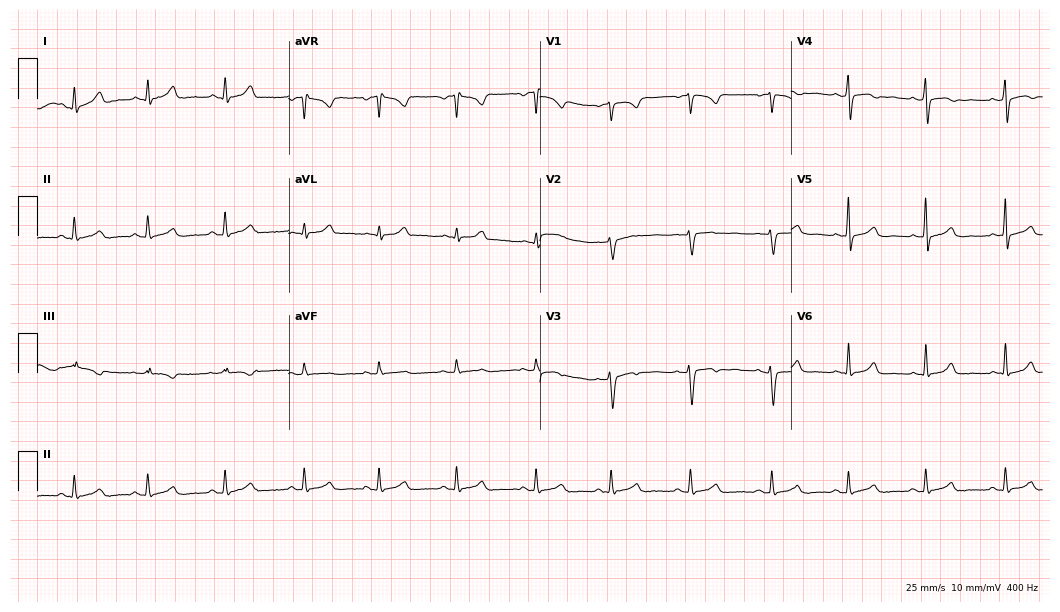
Electrocardiogram, a 29-year-old woman. Of the six screened findings (first-degree AV block, right bundle branch block, left bundle branch block, sinus bradycardia, atrial fibrillation, sinus tachycardia), none is recorded. Only these six findings were labelled.